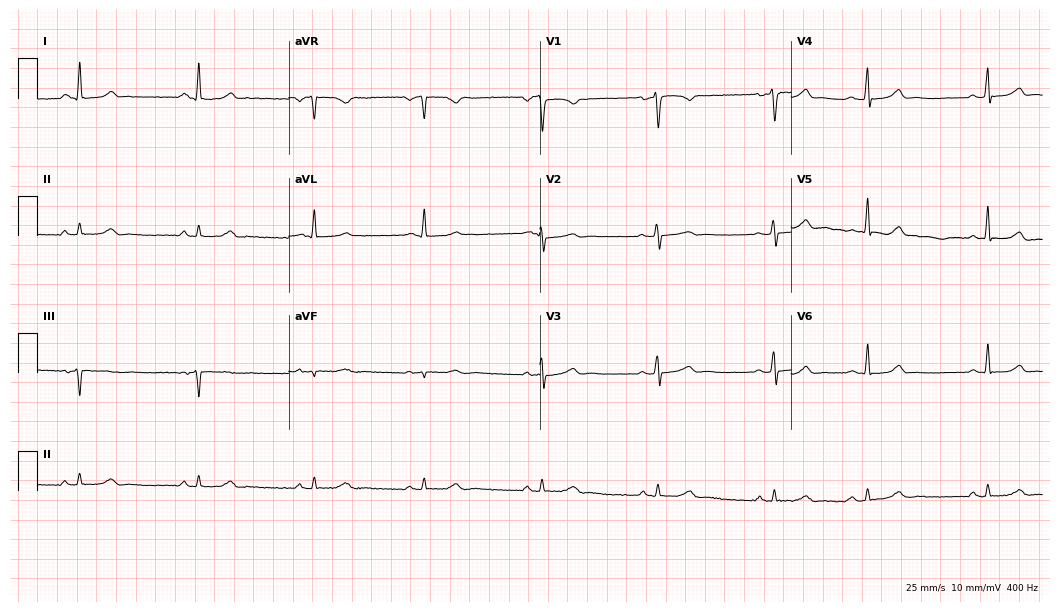
Standard 12-lead ECG recorded from a female patient, 36 years old. Read as a normal ECG.